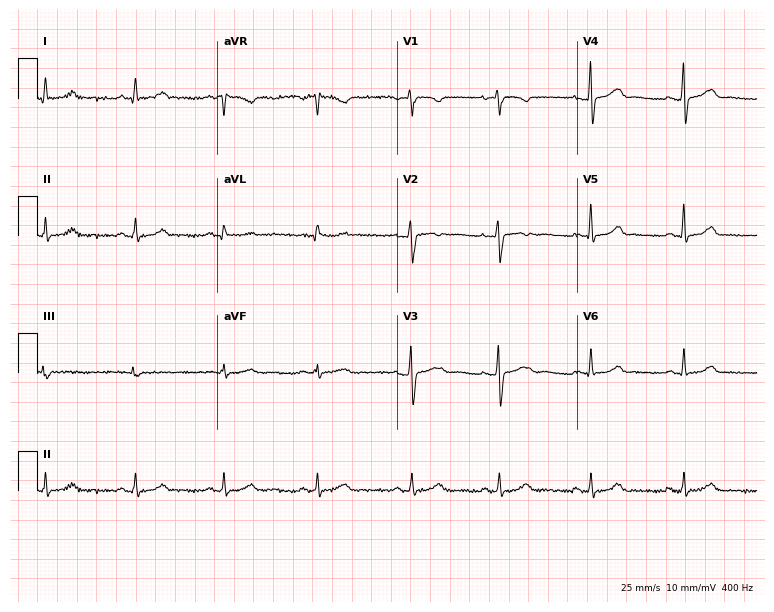
Standard 12-lead ECG recorded from a woman, 42 years old. Read as a normal ECG.